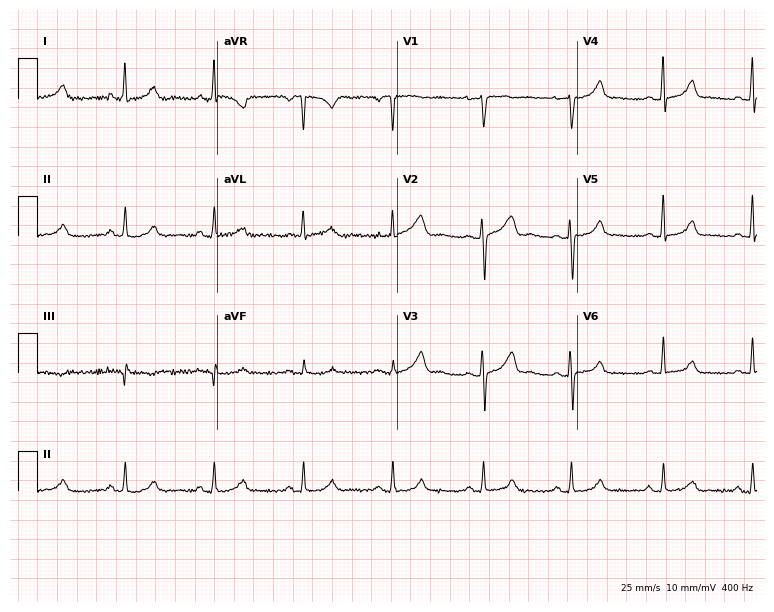
Standard 12-lead ECG recorded from a female patient, 40 years old (7.3-second recording at 400 Hz). Read as a normal ECG.